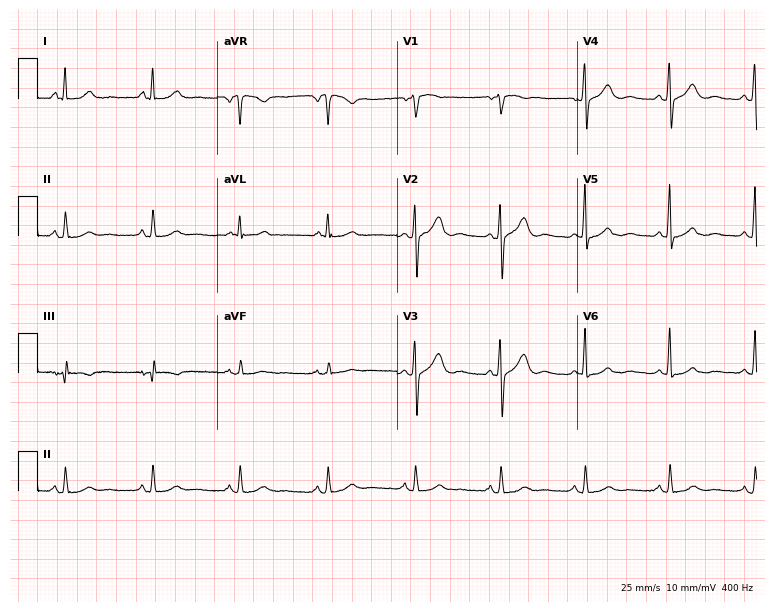
Standard 12-lead ECG recorded from a 61-year-old female patient (7.3-second recording at 400 Hz). None of these six findings is recorded: first-degree AV block, right bundle branch block, left bundle branch block, sinus bradycardia, atrial fibrillation, sinus tachycardia.